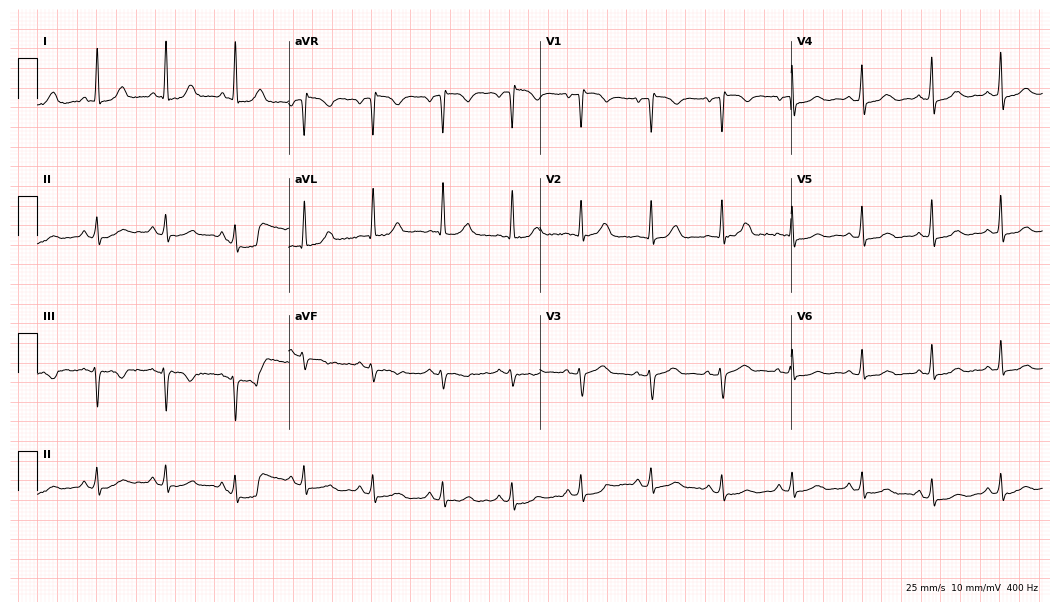
Standard 12-lead ECG recorded from a woman, 69 years old (10.2-second recording at 400 Hz). Read as a normal ECG.